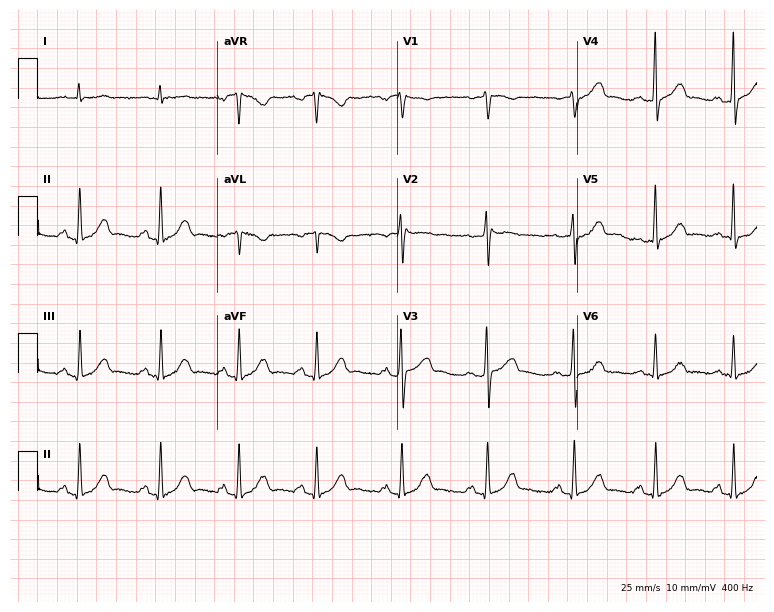
12-lead ECG from a 59-year-old man. Screened for six findings — first-degree AV block, right bundle branch block, left bundle branch block, sinus bradycardia, atrial fibrillation, sinus tachycardia — none is recorded.